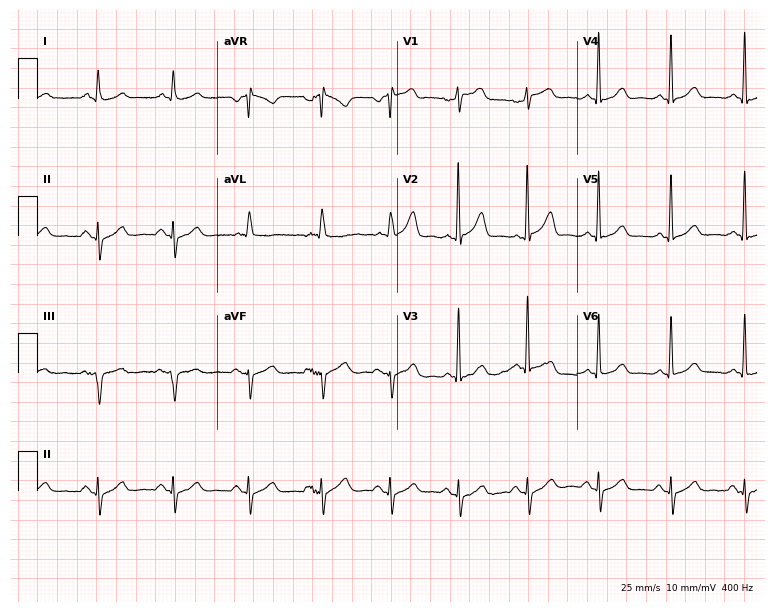
Resting 12-lead electrocardiogram (7.3-second recording at 400 Hz). Patient: a man, 82 years old. None of these six findings is recorded: first-degree AV block, right bundle branch block, left bundle branch block, sinus bradycardia, atrial fibrillation, sinus tachycardia. Only these six findings were labelled.